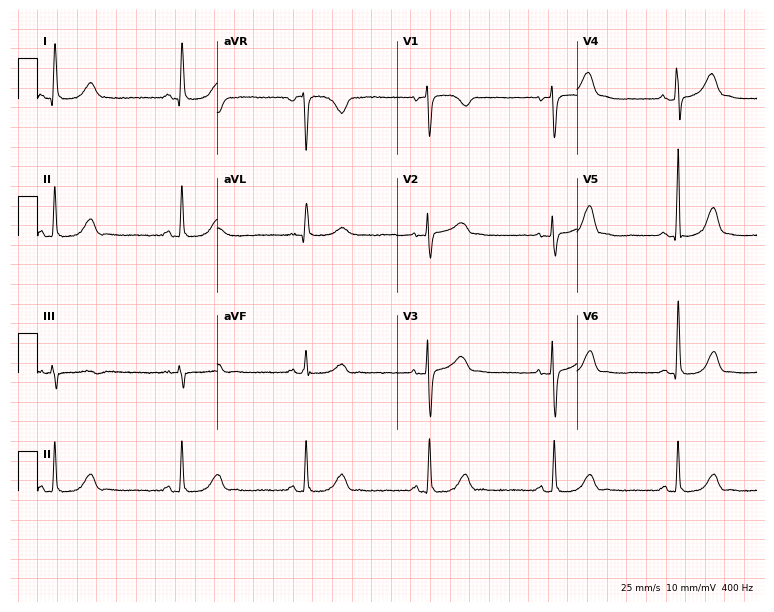
Electrocardiogram, a 55-year-old female. Interpretation includes sinus bradycardia (a sinus rate of 50 beats per minute or less).